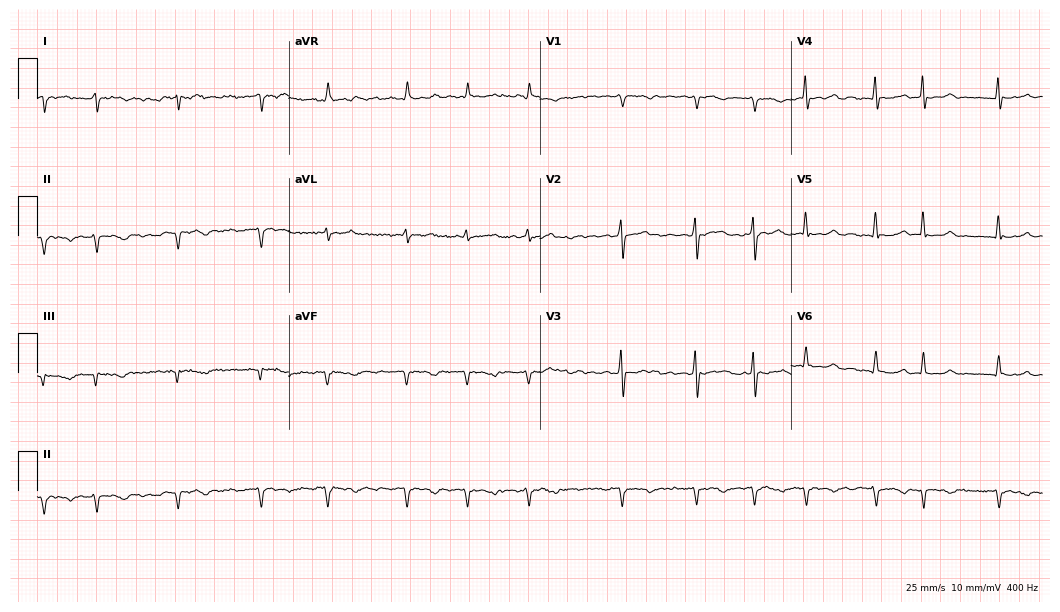
12-lead ECG from an 81-year-old female (10.2-second recording at 400 Hz). No first-degree AV block, right bundle branch block (RBBB), left bundle branch block (LBBB), sinus bradycardia, atrial fibrillation (AF) or sinus tachycardia recorded for this tracing.